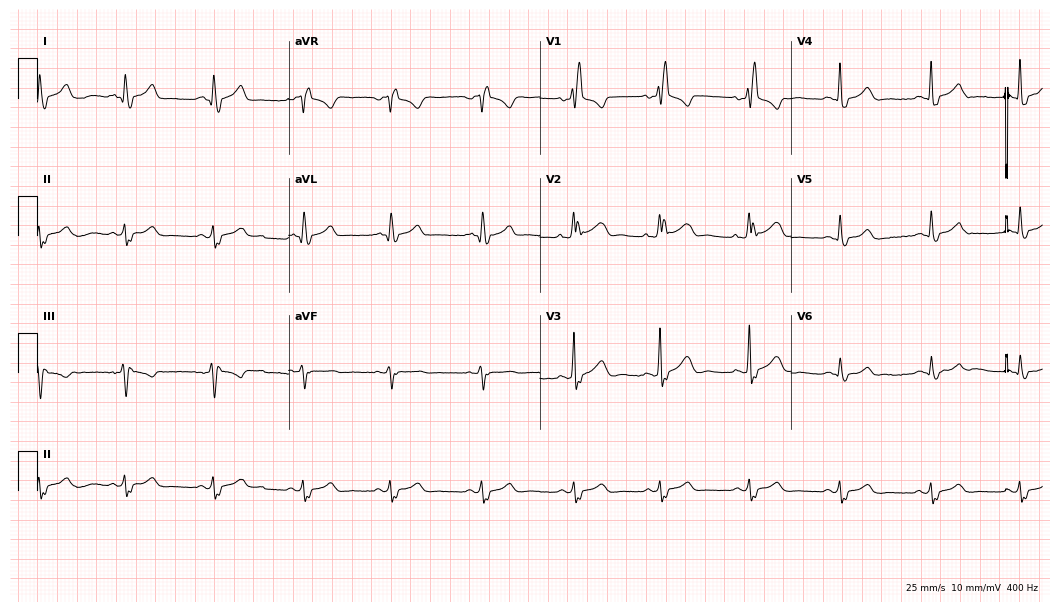
12-lead ECG from a 58-year-old male patient. Shows right bundle branch block.